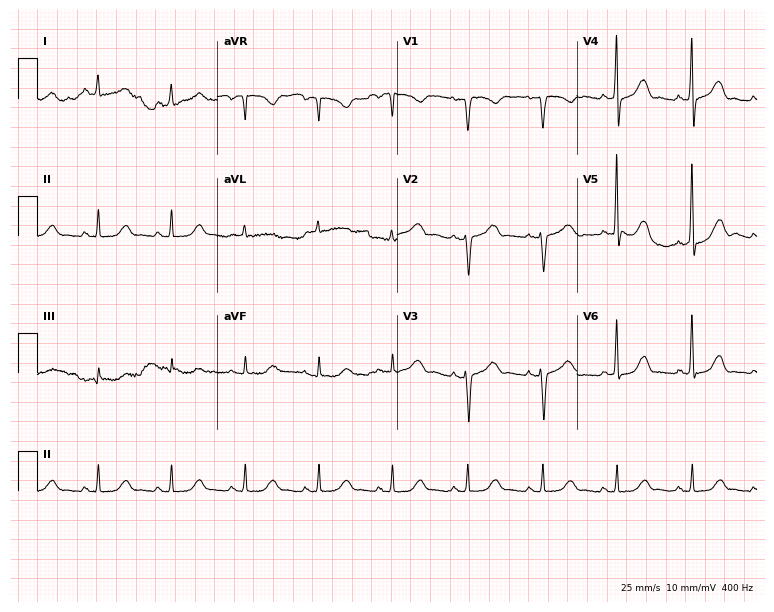
Electrocardiogram (7.3-second recording at 400 Hz), a female, 60 years old. Of the six screened findings (first-degree AV block, right bundle branch block (RBBB), left bundle branch block (LBBB), sinus bradycardia, atrial fibrillation (AF), sinus tachycardia), none is recorded.